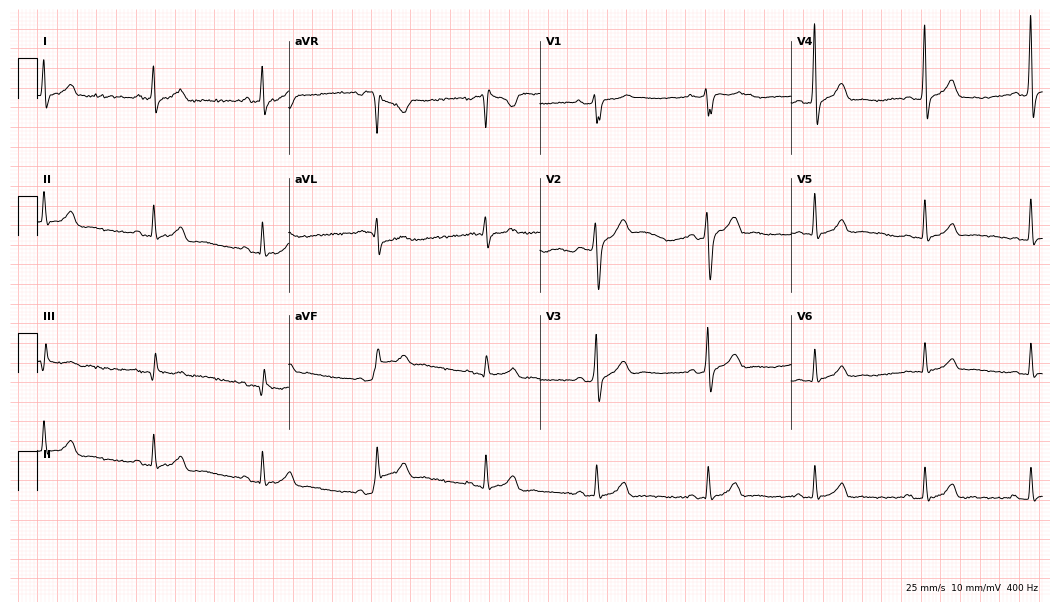
Standard 12-lead ECG recorded from a man, 48 years old. None of these six findings is recorded: first-degree AV block, right bundle branch block, left bundle branch block, sinus bradycardia, atrial fibrillation, sinus tachycardia.